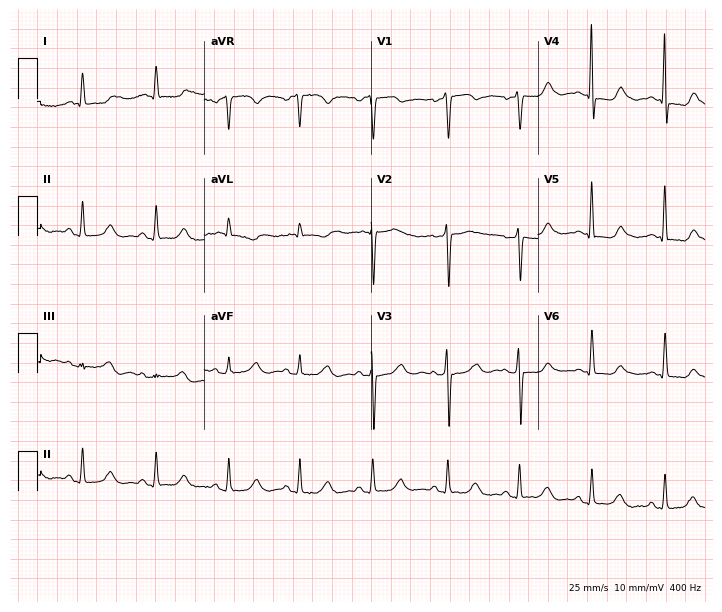
ECG — a 79-year-old woman. Labelled as a normal ECG.